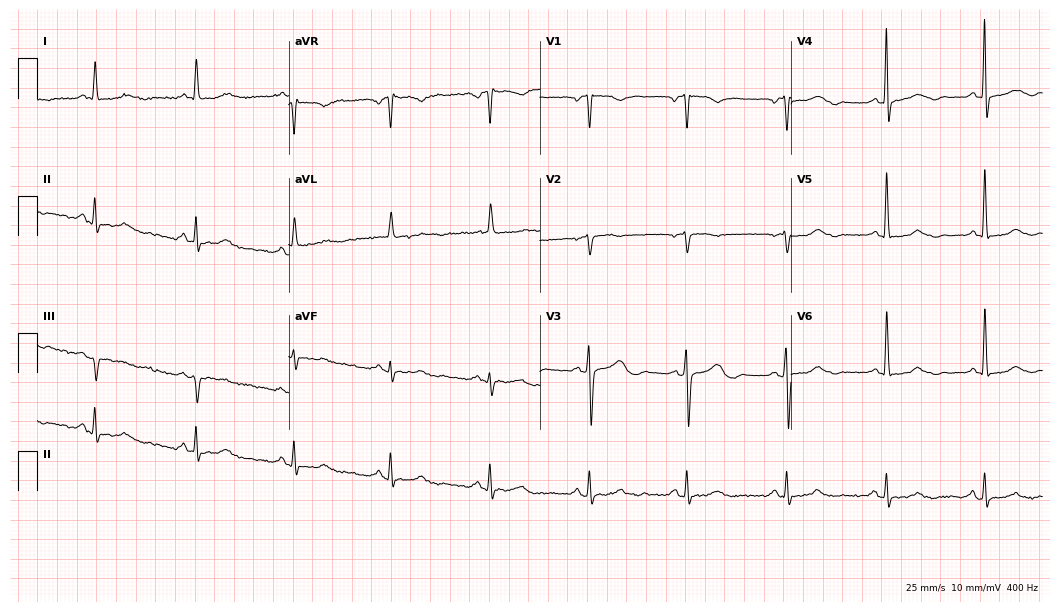
12-lead ECG from a female patient, 77 years old. Screened for six findings — first-degree AV block, right bundle branch block, left bundle branch block, sinus bradycardia, atrial fibrillation, sinus tachycardia — none is recorded. Other findings, if any, are not listed.